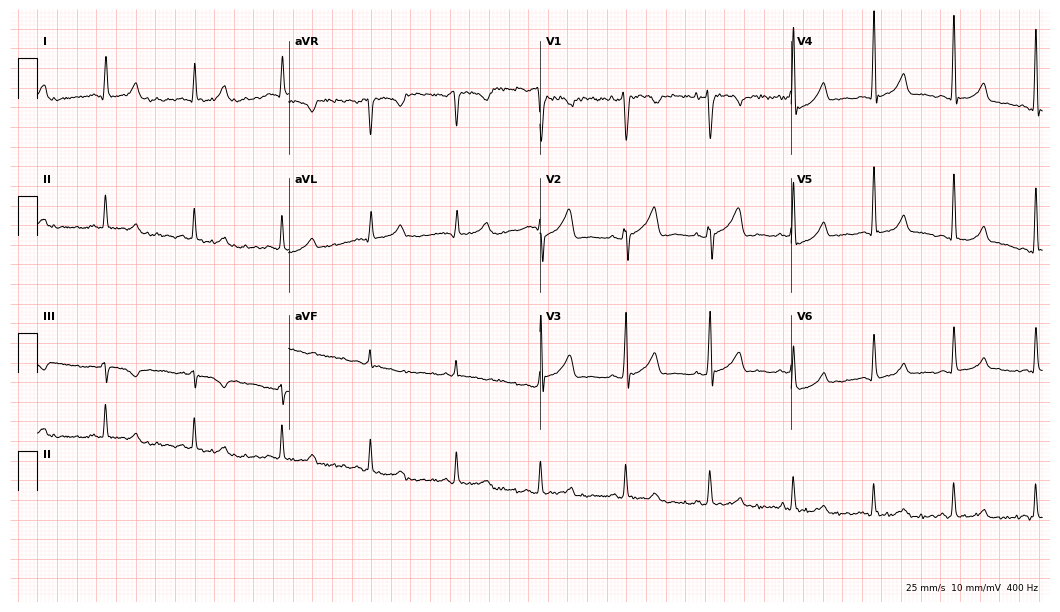
ECG (10.2-second recording at 400 Hz) — a 25-year-old man. Labelled as a normal ECG.